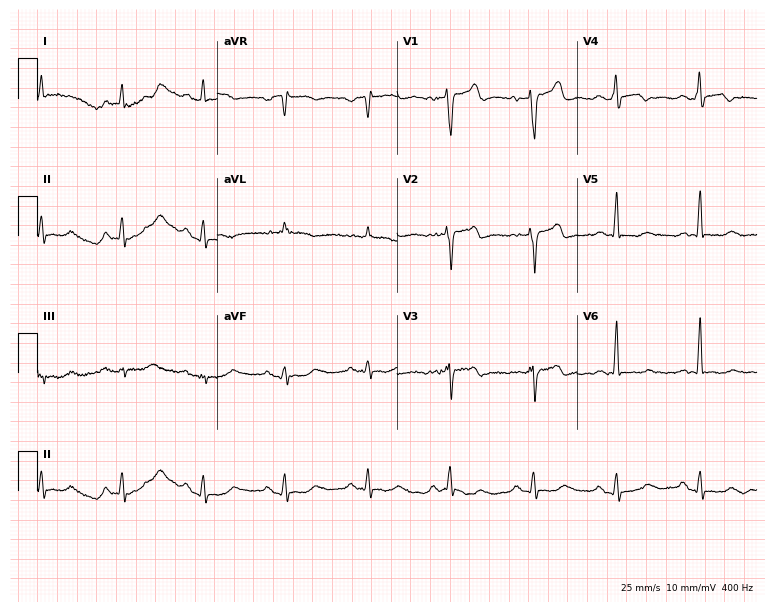
Standard 12-lead ECG recorded from a 72-year-old male patient. None of these six findings is recorded: first-degree AV block, right bundle branch block (RBBB), left bundle branch block (LBBB), sinus bradycardia, atrial fibrillation (AF), sinus tachycardia. Other findings, if any, are not listed.